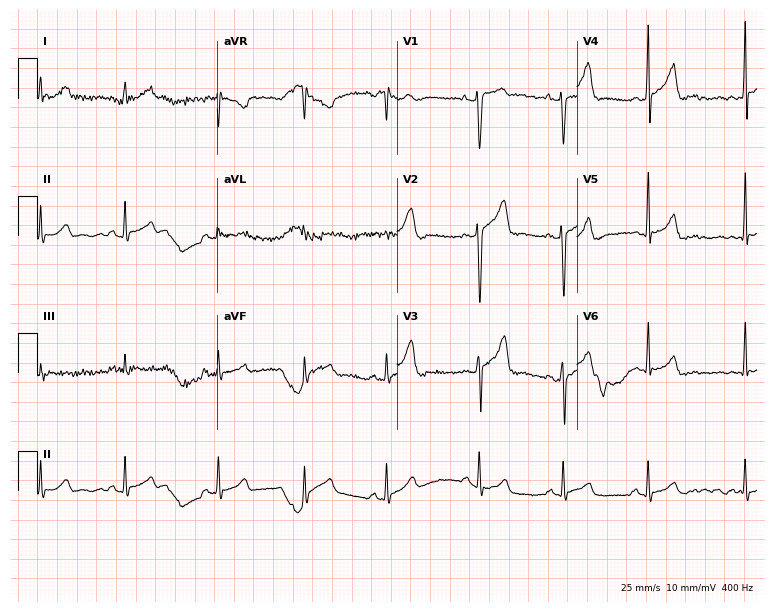
12-lead ECG from a man, 22 years old. No first-degree AV block, right bundle branch block (RBBB), left bundle branch block (LBBB), sinus bradycardia, atrial fibrillation (AF) or sinus tachycardia recorded for this tracing.